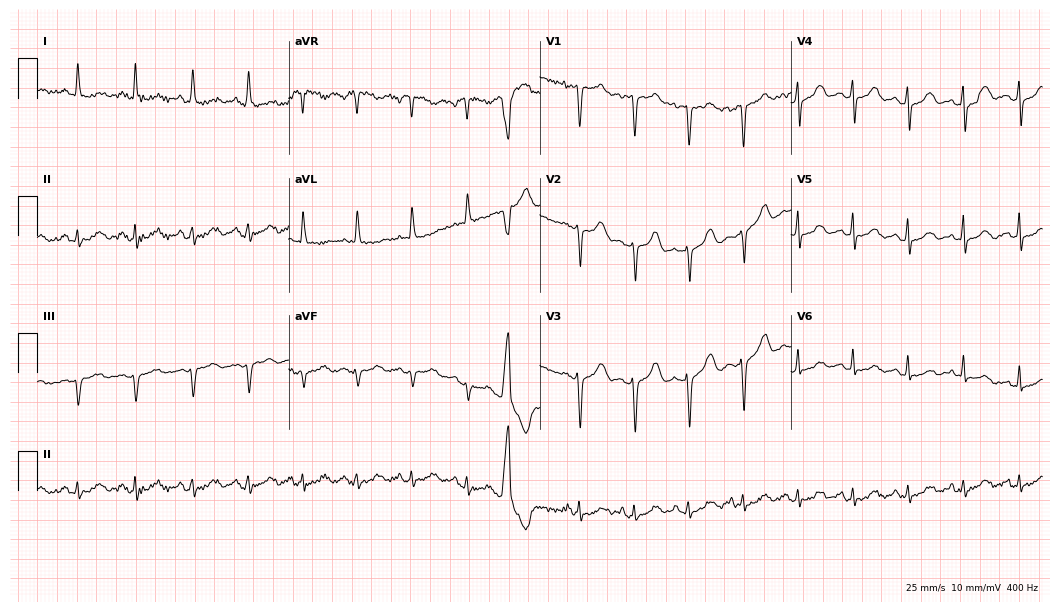
12-lead ECG from a 57-year-old female. No first-degree AV block, right bundle branch block, left bundle branch block, sinus bradycardia, atrial fibrillation or sinus tachycardia recorded for this tracing.